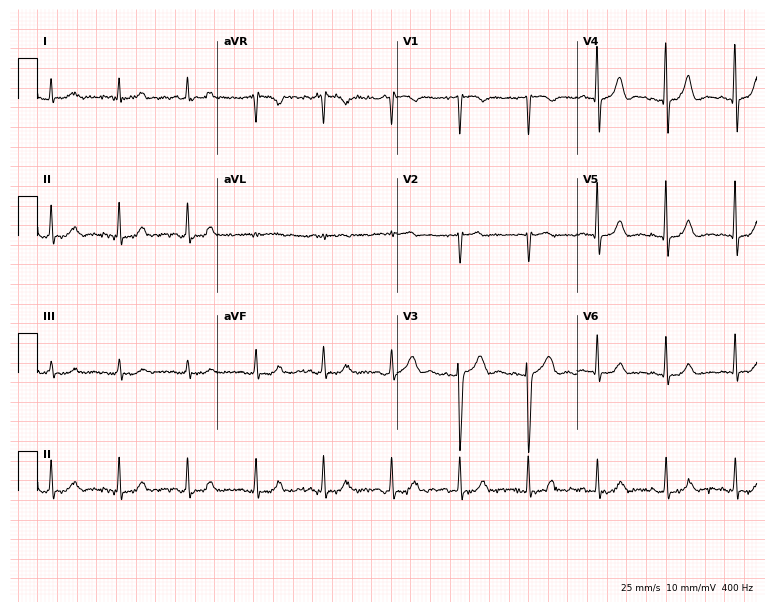
Electrocardiogram (7.3-second recording at 400 Hz), a 71-year-old woman. Overall reading on record: normal ECG.